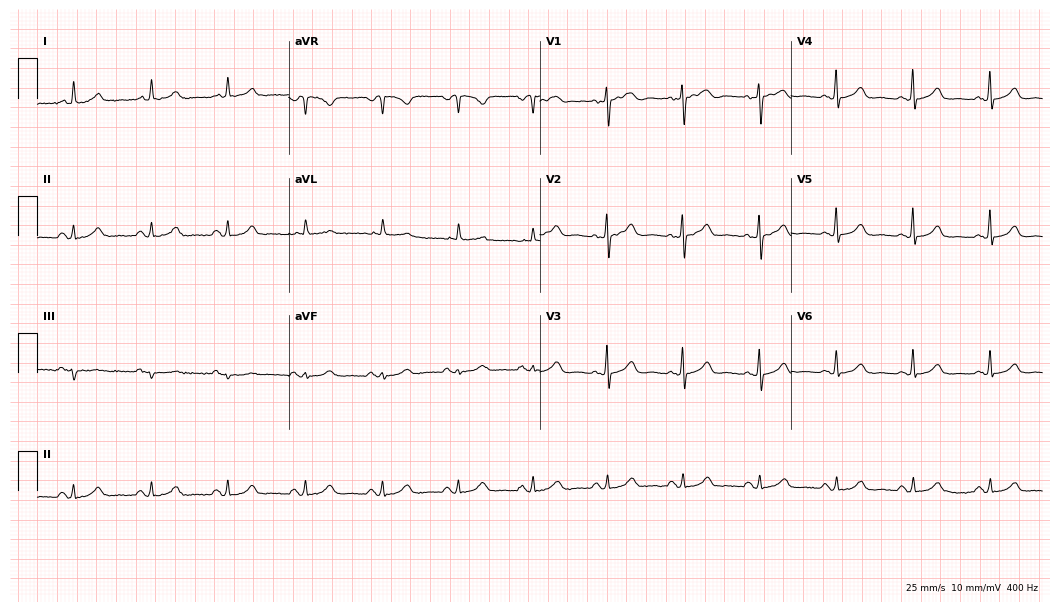
Standard 12-lead ECG recorded from a female, 61 years old (10.2-second recording at 400 Hz). Read as a normal ECG.